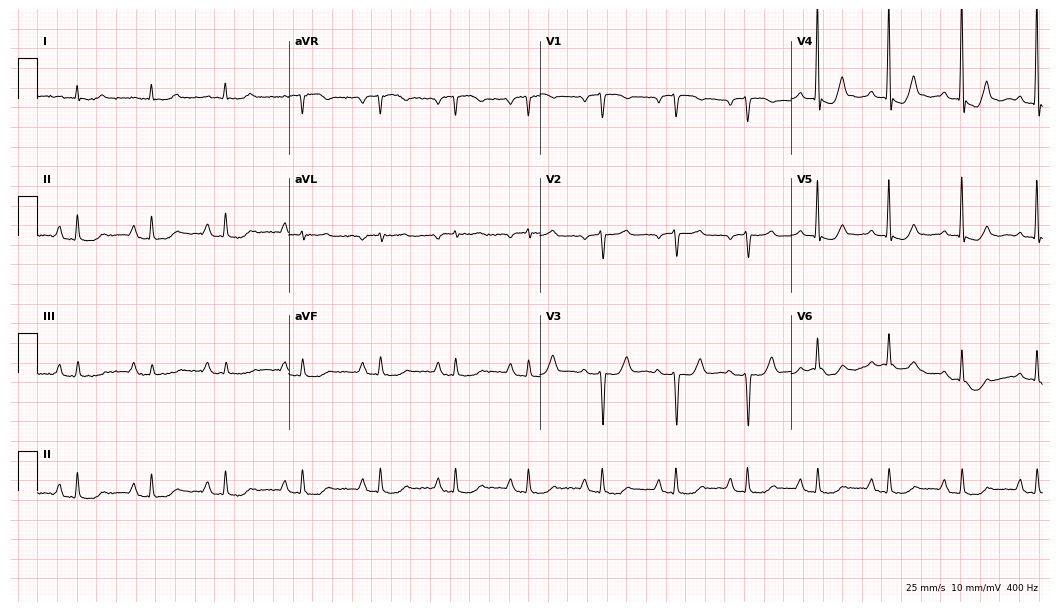
12-lead ECG from a woman, 77 years old. Labelled as a normal ECG.